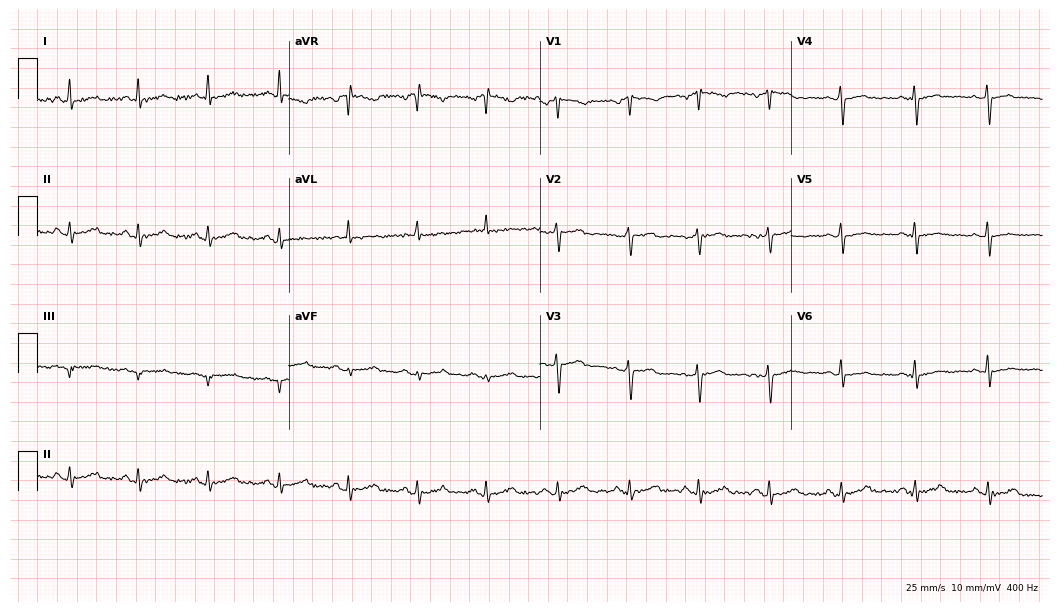
Standard 12-lead ECG recorded from a 57-year-old female. Read as a normal ECG.